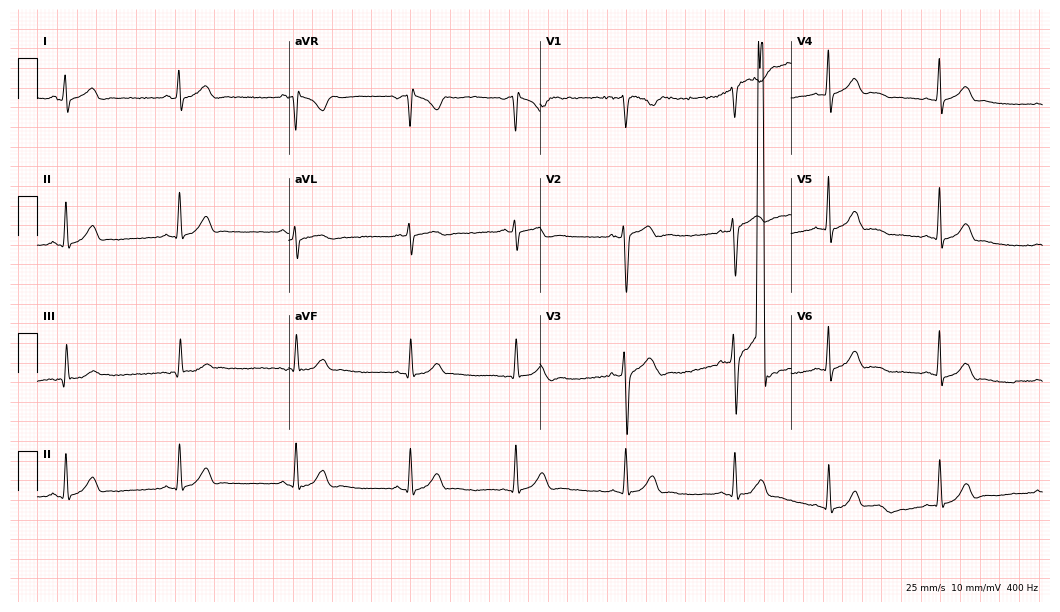
12-lead ECG from a 28-year-old male (10.2-second recording at 400 Hz). Recorded interpretation: within normal limits.